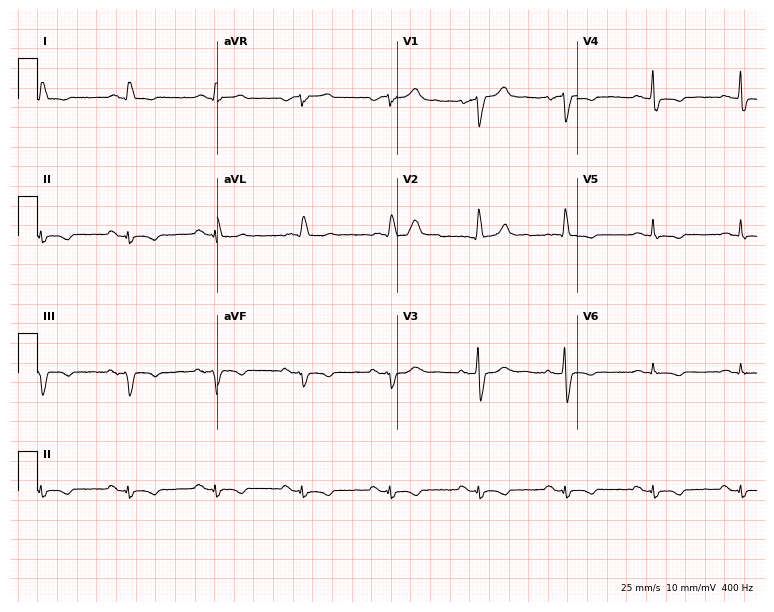
Standard 12-lead ECG recorded from a 73-year-old female patient (7.3-second recording at 400 Hz). None of these six findings is recorded: first-degree AV block, right bundle branch block, left bundle branch block, sinus bradycardia, atrial fibrillation, sinus tachycardia. Only these six findings were labelled.